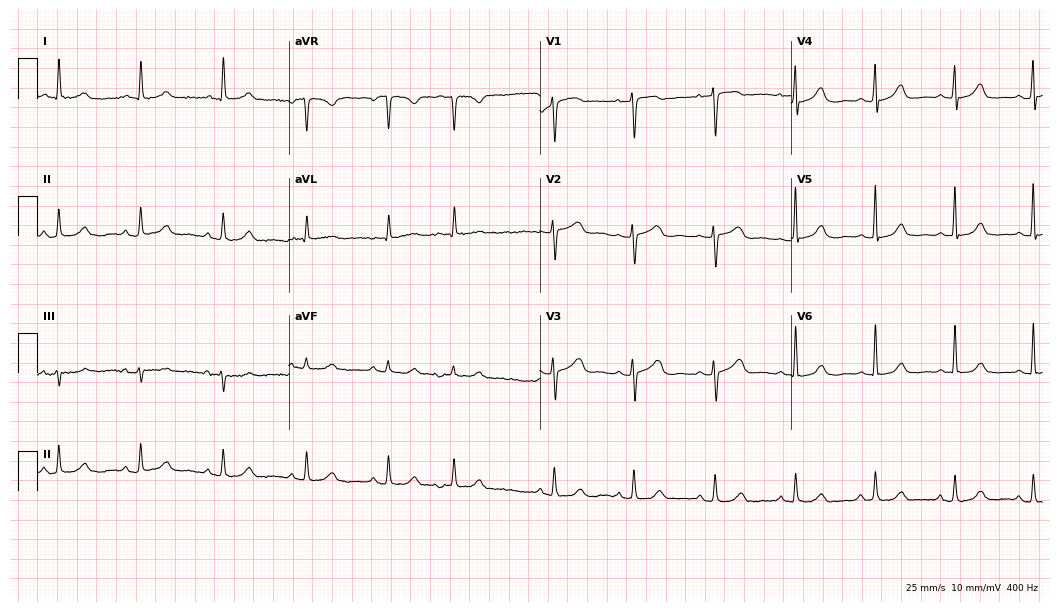
Standard 12-lead ECG recorded from an 85-year-old female patient (10.2-second recording at 400 Hz). Read as a normal ECG.